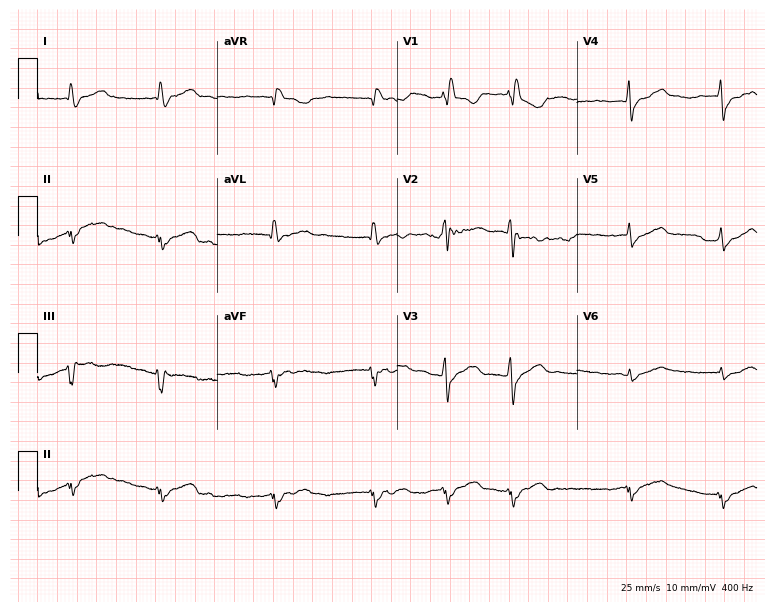
Resting 12-lead electrocardiogram. Patient: a female, 50 years old. None of these six findings is recorded: first-degree AV block, right bundle branch block, left bundle branch block, sinus bradycardia, atrial fibrillation, sinus tachycardia.